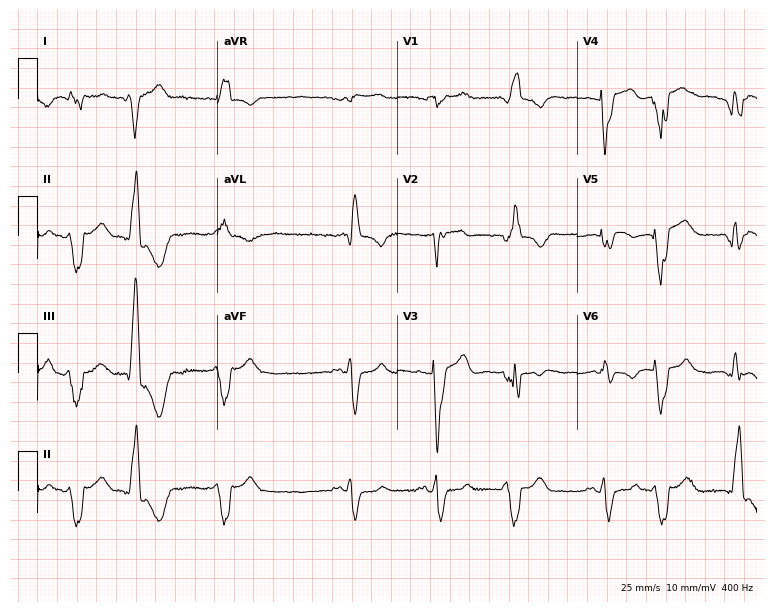
Resting 12-lead electrocardiogram. Patient: a 63-year-old man. None of these six findings is recorded: first-degree AV block, right bundle branch block (RBBB), left bundle branch block (LBBB), sinus bradycardia, atrial fibrillation (AF), sinus tachycardia.